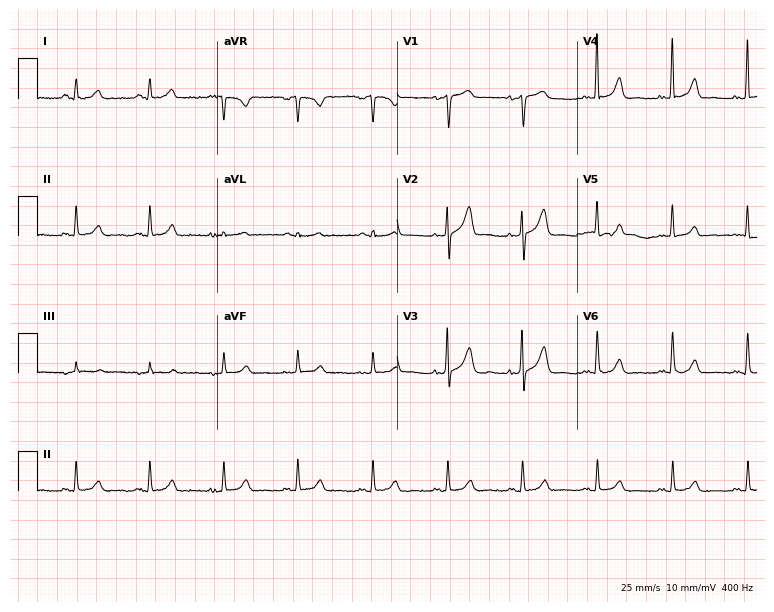
12-lead ECG (7.3-second recording at 400 Hz) from a 55-year-old male. Labelled as a normal ECG.